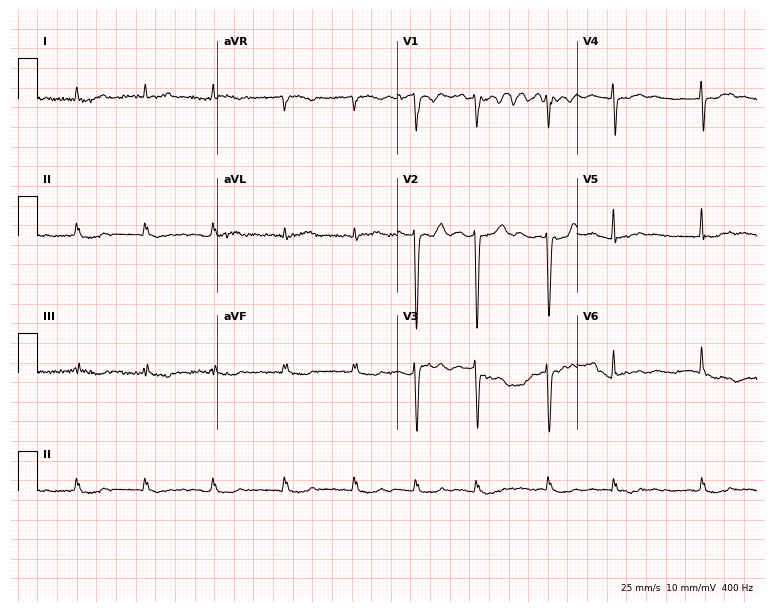
ECG — a female patient, 82 years old. Findings include atrial fibrillation.